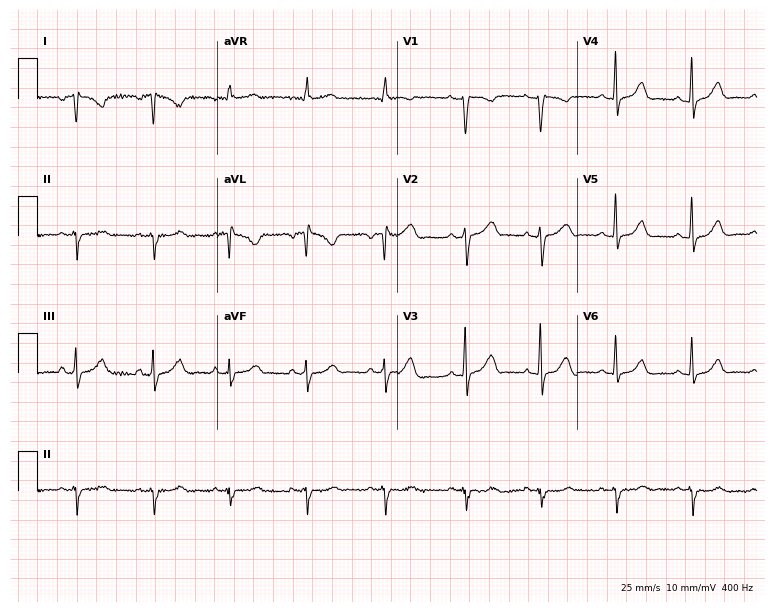
12-lead ECG from a 38-year-old woman. No first-degree AV block, right bundle branch block, left bundle branch block, sinus bradycardia, atrial fibrillation or sinus tachycardia recorded for this tracing. Only these six findings were labelled.